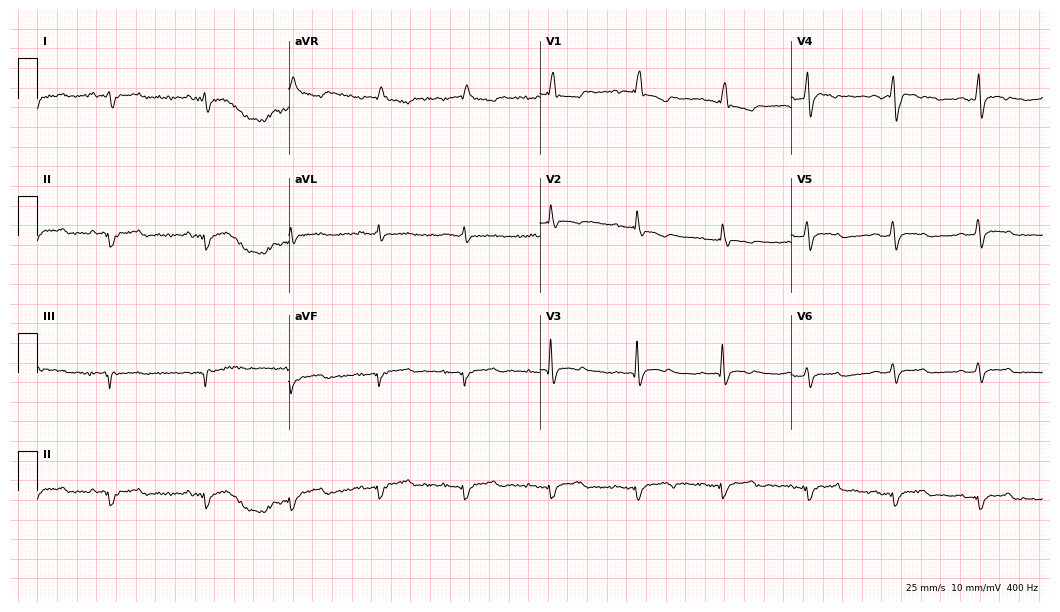
12-lead ECG from a 48-year-old male. Screened for six findings — first-degree AV block, right bundle branch block, left bundle branch block, sinus bradycardia, atrial fibrillation, sinus tachycardia — none is recorded. Only these six findings were labelled.